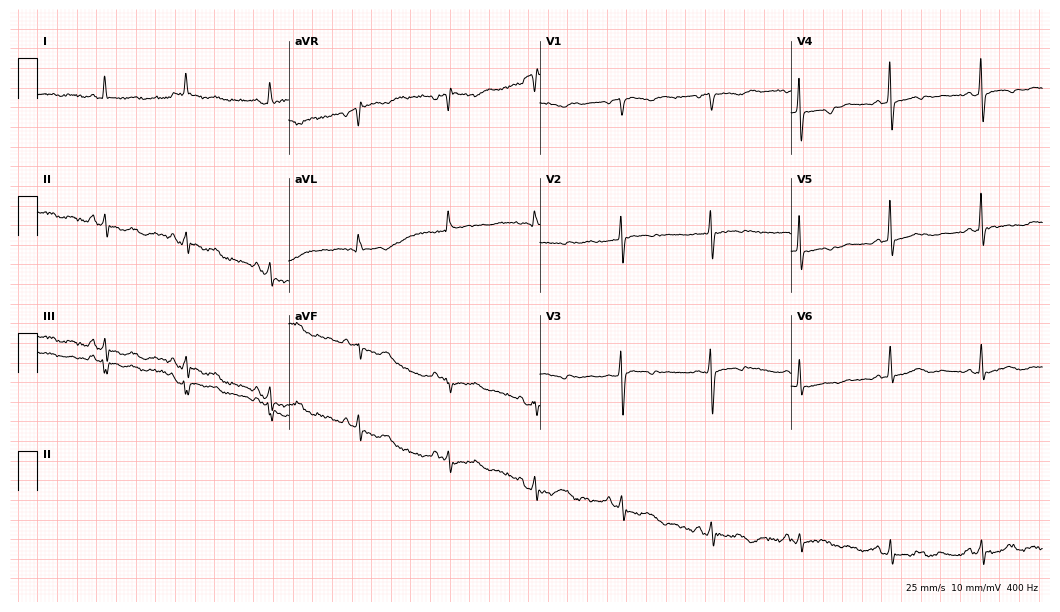
Standard 12-lead ECG recorded from a 60-year-old female (10.2-second recording at 400 Hz). None of these six findings is recorded: first-degree AV block, right bundle branch block (RBBB), left bundle branch block (LBBB), sinus bradycardia, atrial fibrillation (AF), sinus tachycardia.